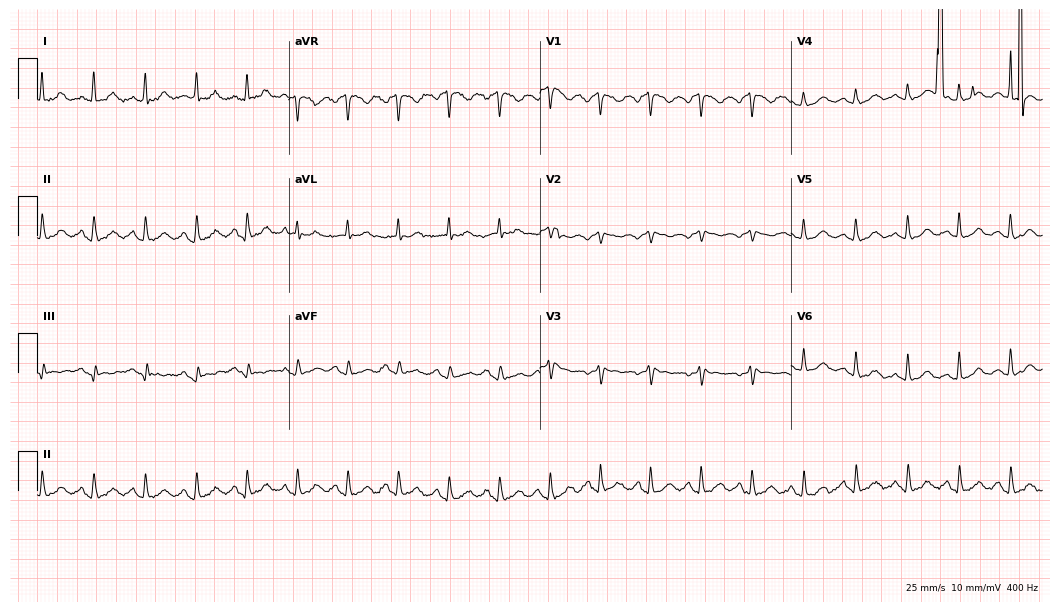
Electrocardiogram, a woman, 39 years old. Of the six screened findings (first-degree AV block, right bundle branch block (RBBB), left bundle branch block (LBBB), sinus bradycardia, atrial fibrillation (AF), sinus tachycardia), none is recorded. Other findings, if any, are not listed.